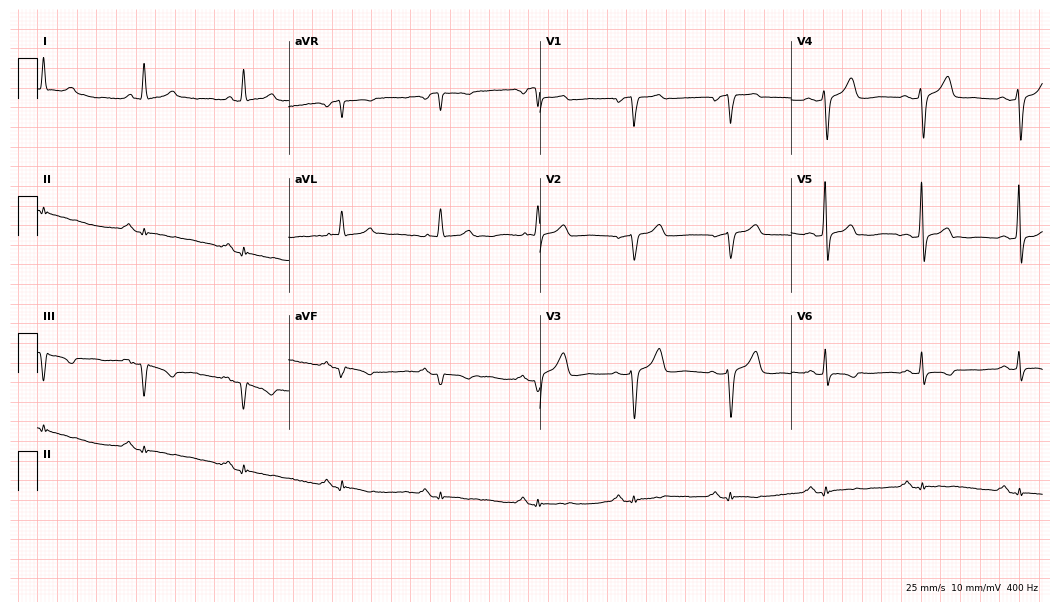
12-lead ECG from a man, 67 years old. Screened for six findings — first-degree AV block, right bundle branch block (RBBB), left bundle branch block (LBBB), sinus bradycardia, atrial fibrillation (AF), sinus tachycardia — none is recorded. Only these six findings were labelled.